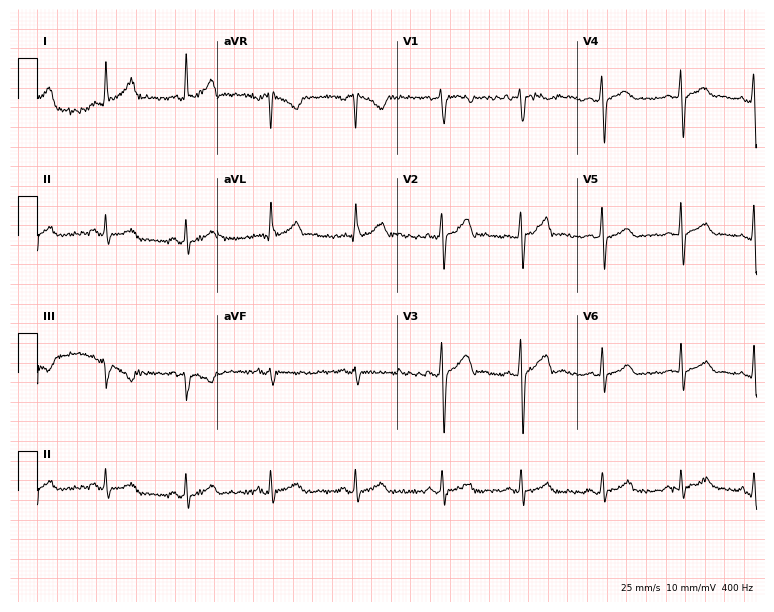
Electrocardiogram, a male patient, 23 years old. Of the six screened findings (first-degree AV block, right bundle branch block (RBBB), left bundle branch block (LBBB), sinus bradycardia, atrial fibrillation (AF), sinus tachycardia), none is recorded.